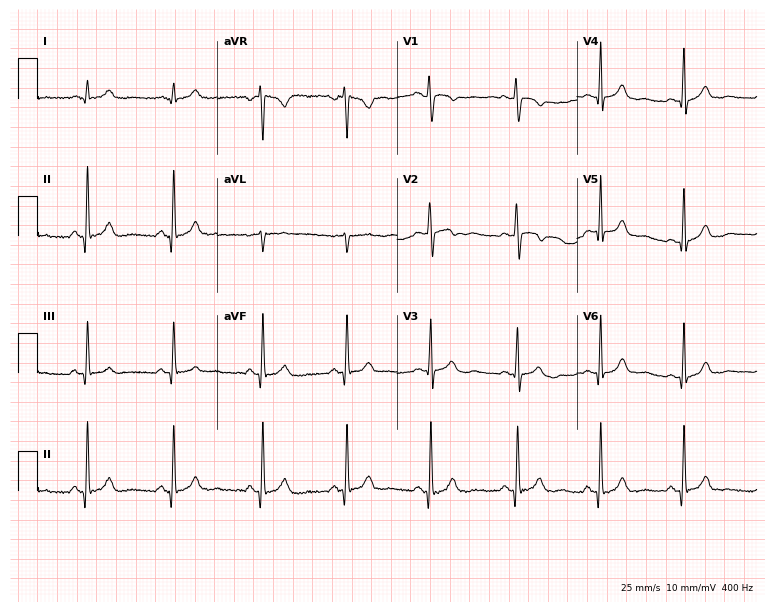
12-lead ECG from an 18-year-old female patient (7.3-second recording at 400 Hz). No first-degree AV block, right bundle branch block (RBBB), left bundle branch block (LBBB), sinus bradycardia, atrial fibrillation (AF) or sinus tachycardia recorded for this tracing.